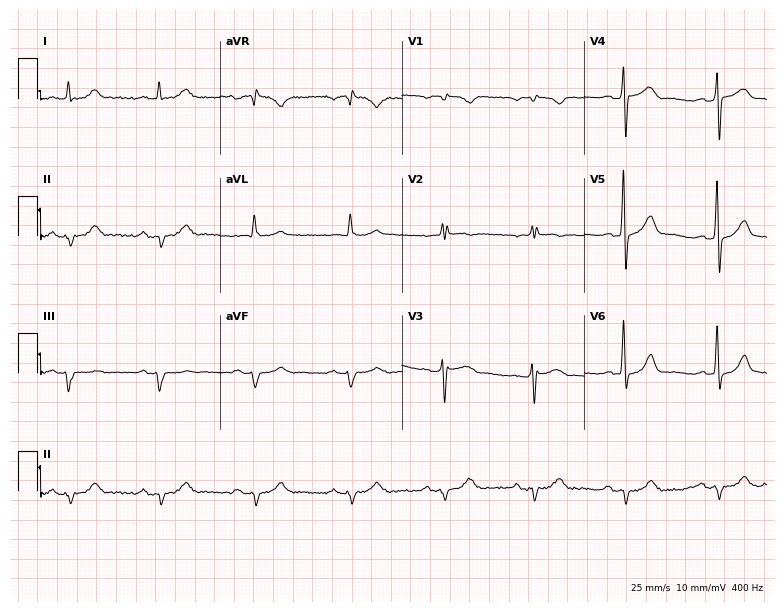
12-lead ECG from a male, 59 years old (7.4-second recording at 400 Hz). Shows first-degree AV block.